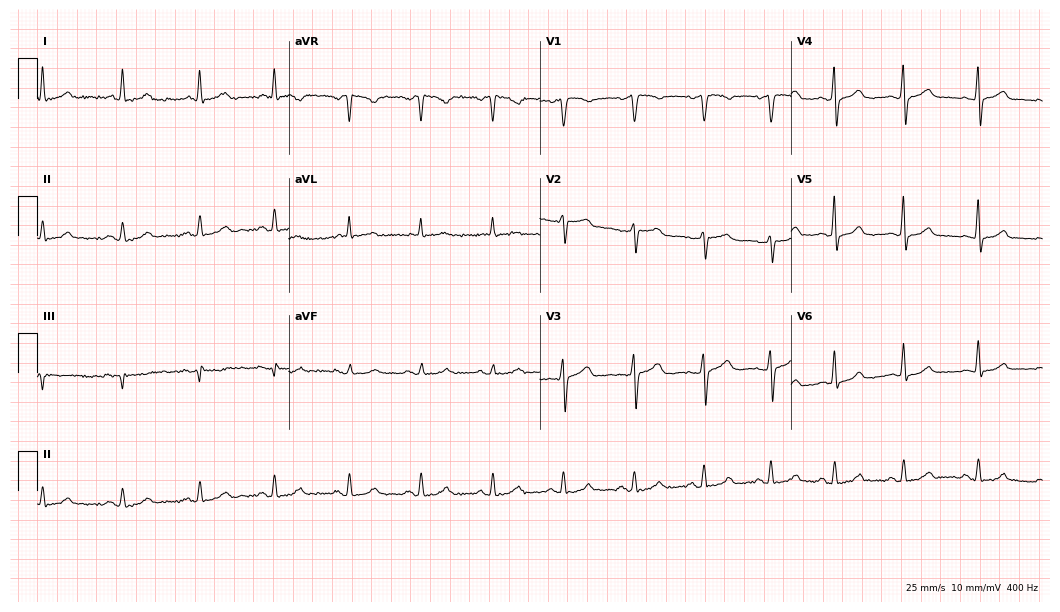
Standard 12-lead ECG recorded from a 51-year-old female (10.2-second recording at 400 Hz). Read as a normal ECG.